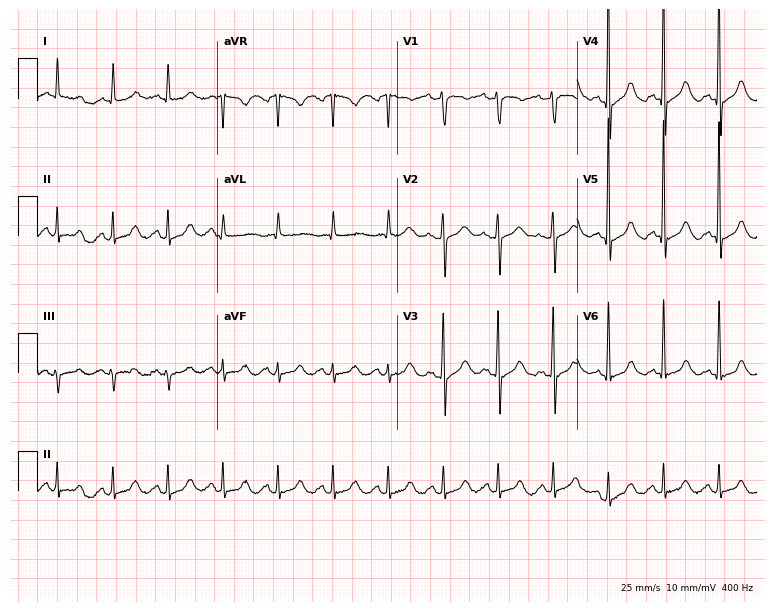
Resting 12-lead electrocardiogram. Patient: a female, 74 years old. The tracing shows sinus tachycardia (a sinus rate of 100 beats per minute or more).